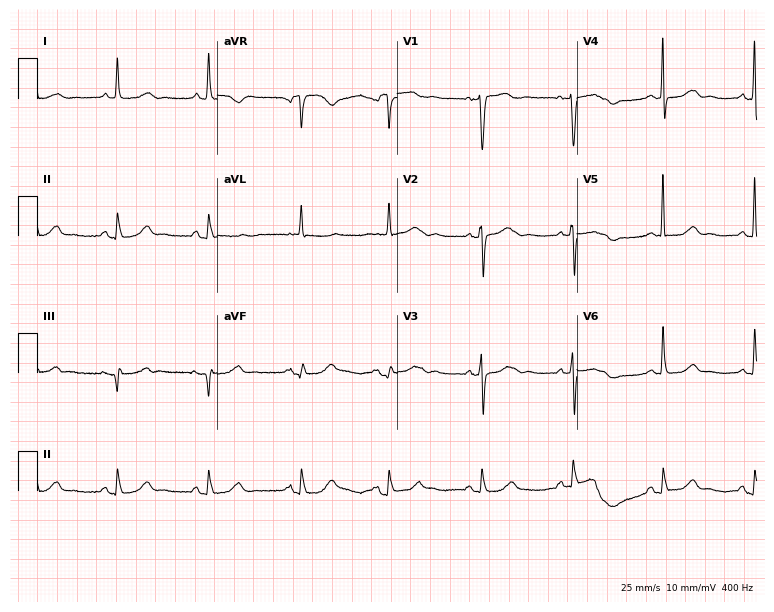
Electrocardiogram (7.3-second recording at 400 Hz), an 84-year-old female patient. Overall reading on record: normal ECG.